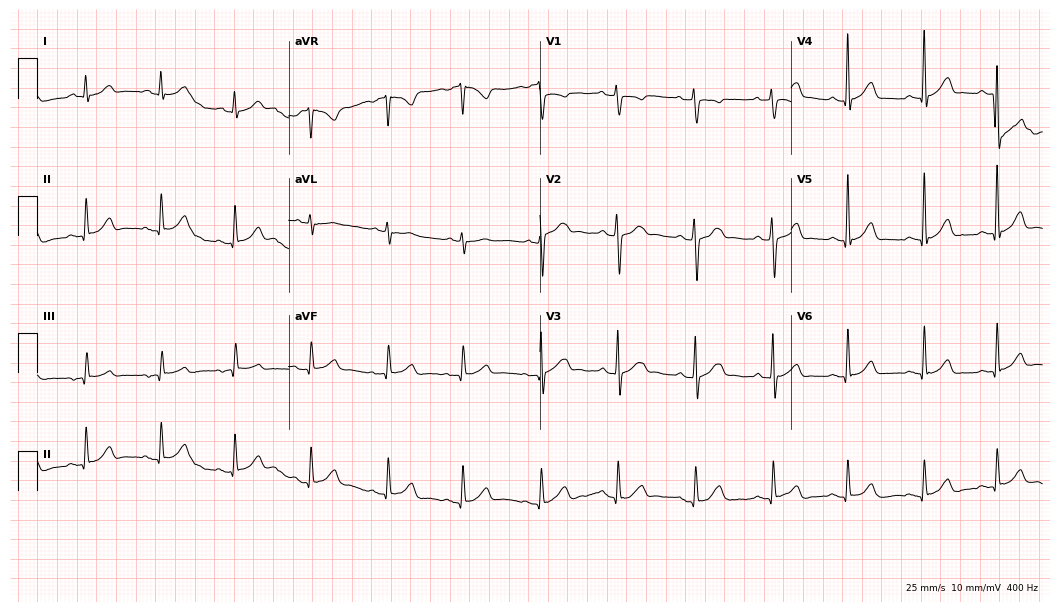
Standard 12-lead ECG recorded from a 32-year-old male. Read as a normal ECG.